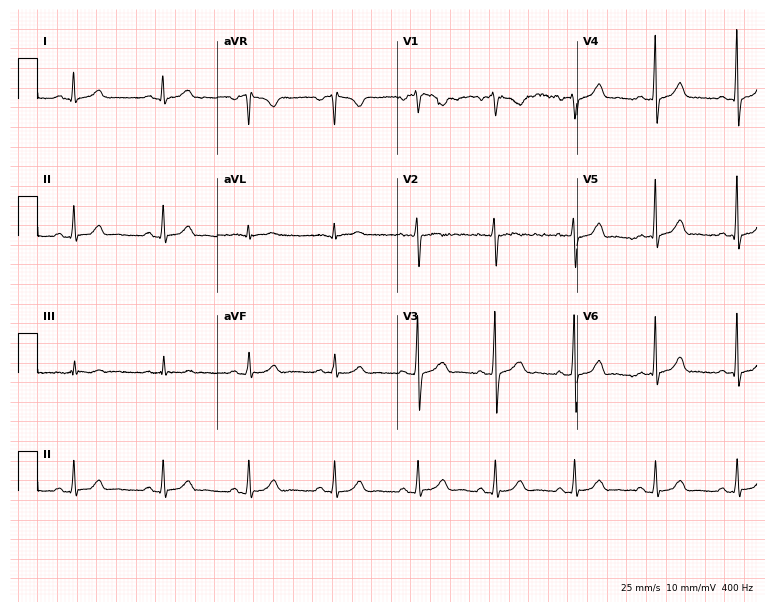
Standard 12-lead ECG recorded from a female patient, 34 years old (7.3-second recording at 400 Hz). Read as a normal ECG.